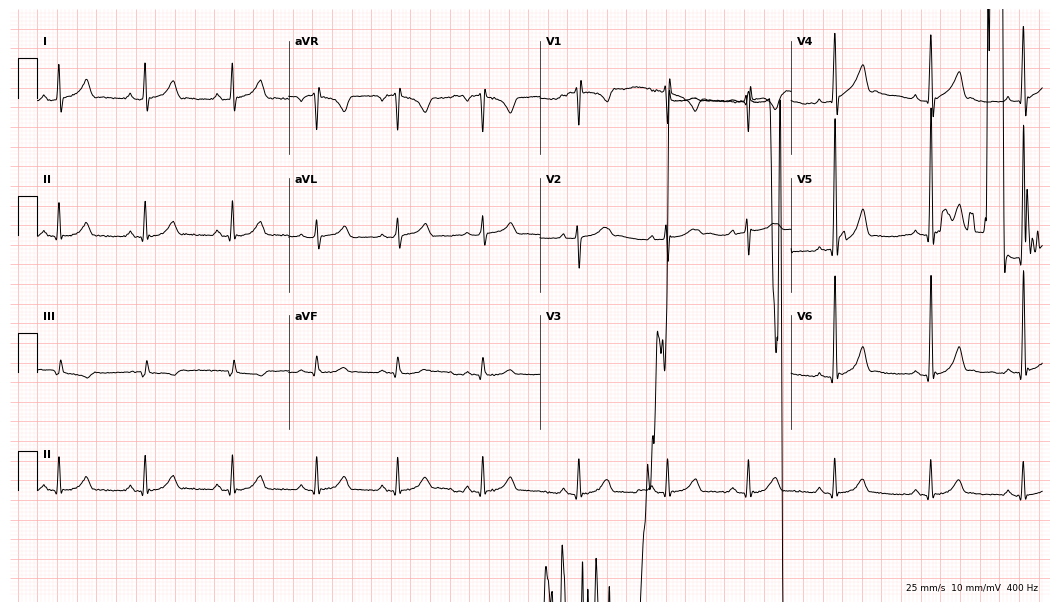
Standard 12-lead ECG recorded from a 17-year-old man (10.2-second recording at 400 Hz). None of these six findings is recorded: first-degree AV block, right bundle branch block, left bundle branch block, sinus bradycardia, atrial fibrillation, sinus tachycardia. Only these six findings were labelled.